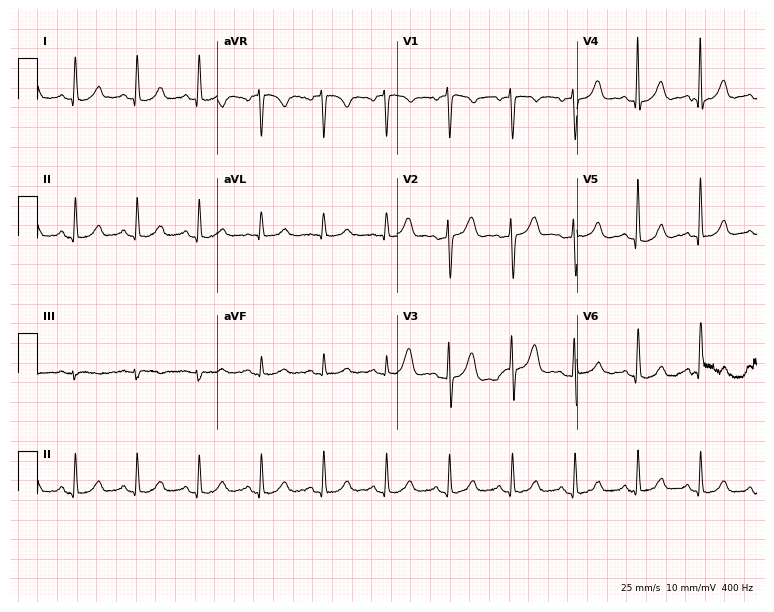
ECG (7.3-second recording at 400 Hz) — a woman, 58 years old. Labelled as a normal ECG.